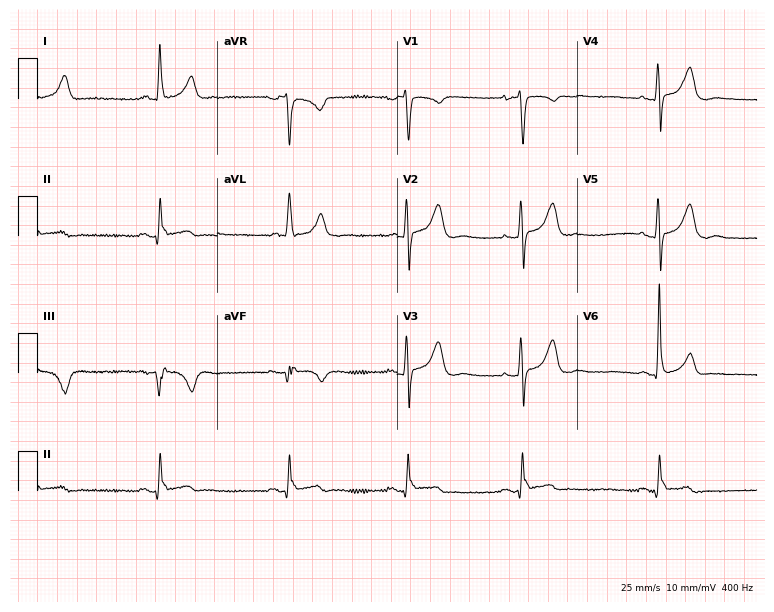
Resting 12-lead electrocardiogram. Patient: an 88-year-old woman. The tracing shows sinus bradycardia (a sinus rate of 50 beats per minute or less).